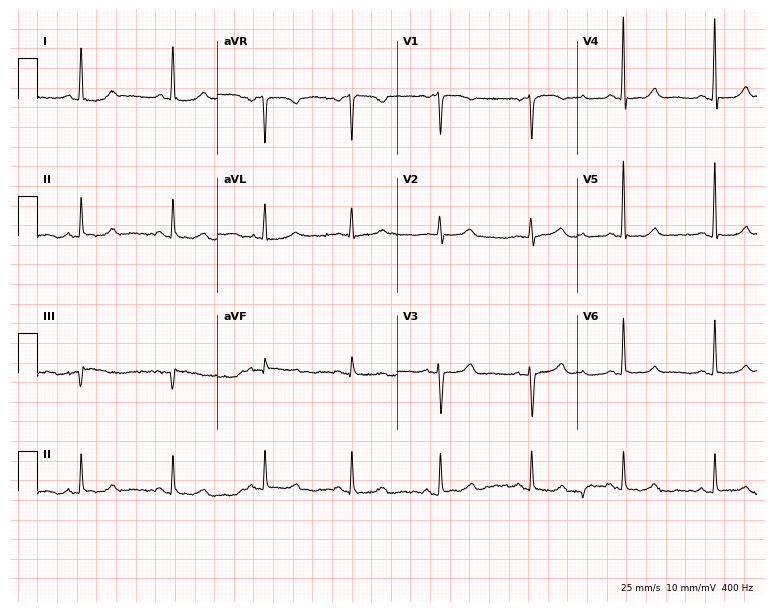
Resting 12-lead electrocardiogram. Patient: a 65-year-old woman. Read as a normal ECG.